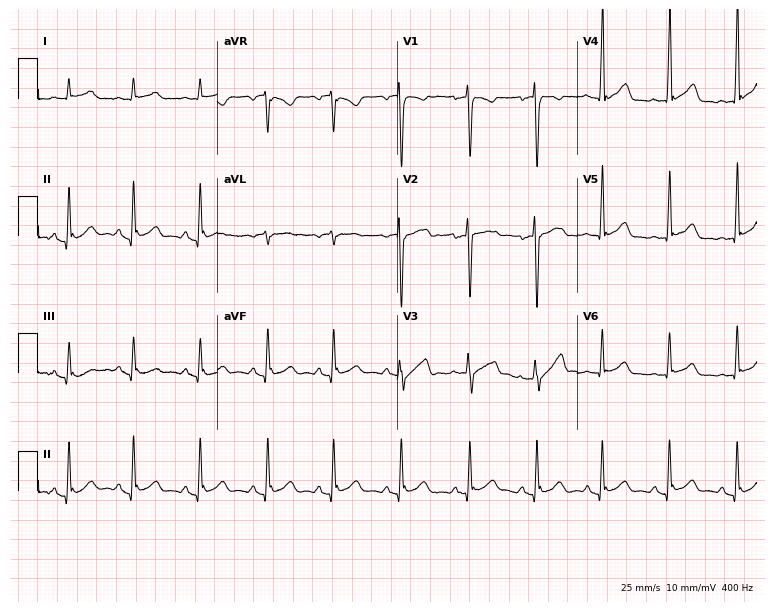
12-lead ECG from a male patient, 36 years old. No first-degree AV block, right bundle branch block, left bundle branch block, sinus bradycardia, atrial fibrillation or sinus tachycardia recorded for this tracing.